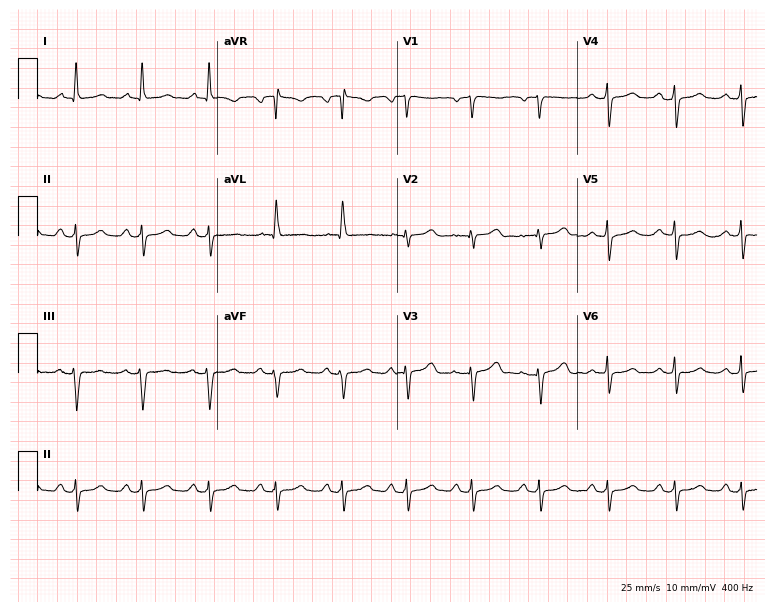
12-lead ECG from a 70-year-old female (7.3-second recording at 400 Hz). No first-degree AV block, right bundle branch block, left bundle branch block, sinus bradycardia, atrial fibrillation or sinus tachycardia recorded for this tracing.